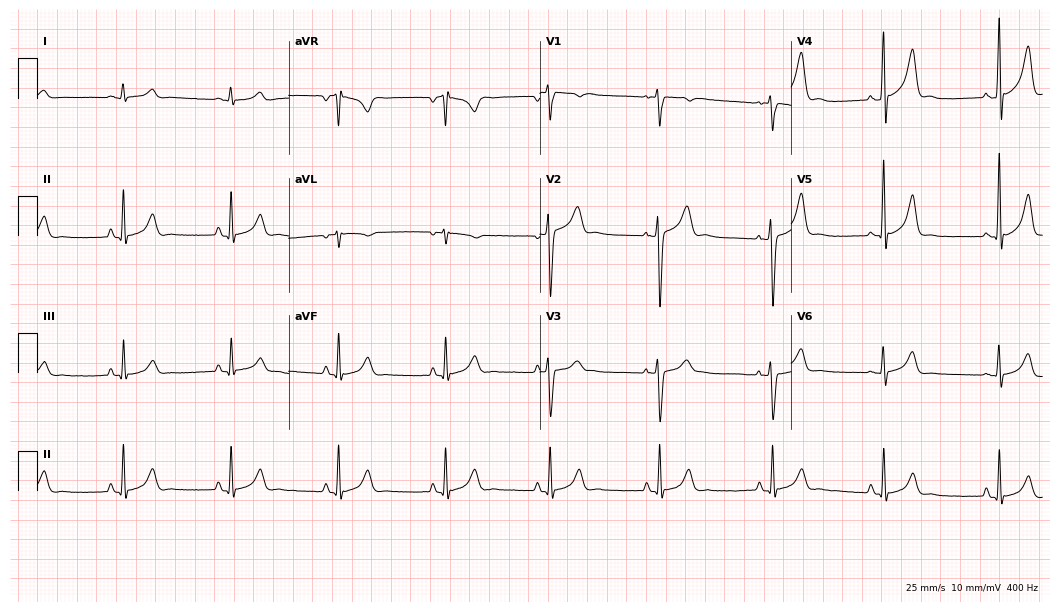
Resting 12-lead electrocardiogram (10.2-second recording at 400 Hz). Patient: a 34-year-old male. Read as a normal ECG.